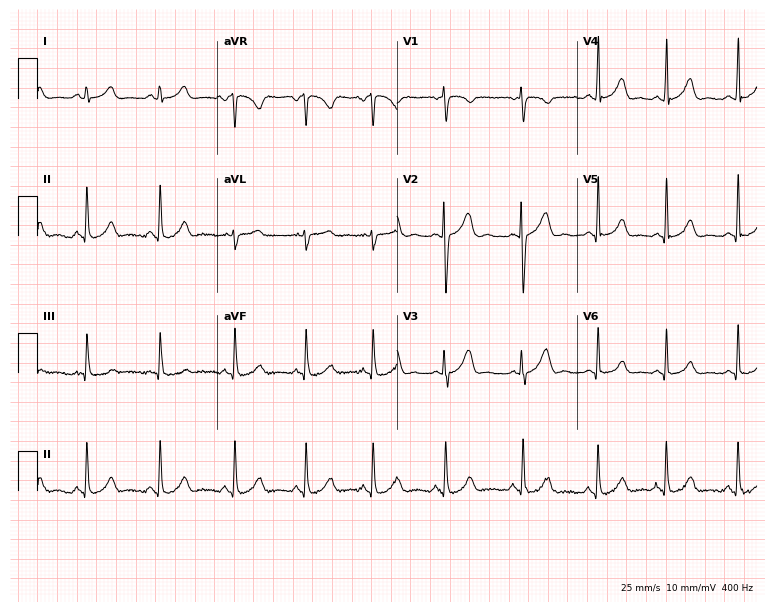
Standard 12-lead ECG recorded from a female patient, 18 years old. Read as a normal ECG.